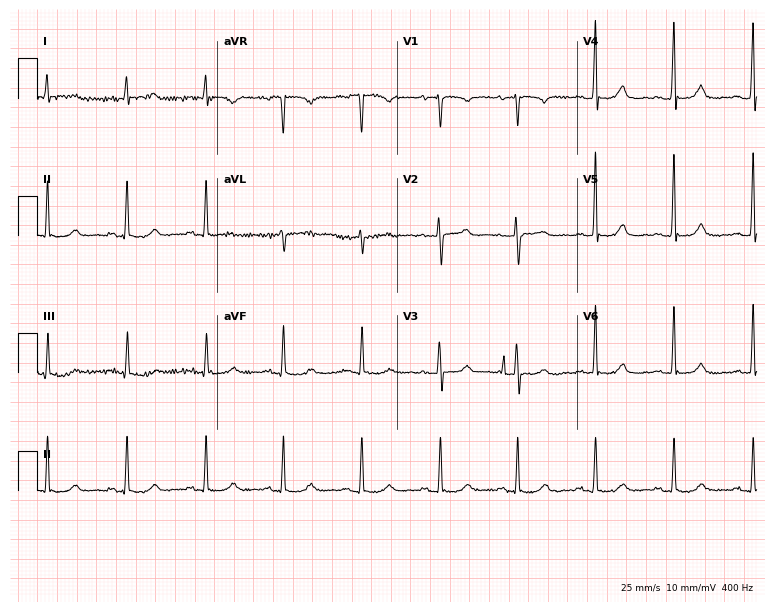
Electrocardiogram, a 66-year-old woman. Of the six screened findings (first-degree AV block, right bundle branch block, left bundle branch block, sinus bradycardia, atrial fibrillation, sinus tachycardia), none is recorded.